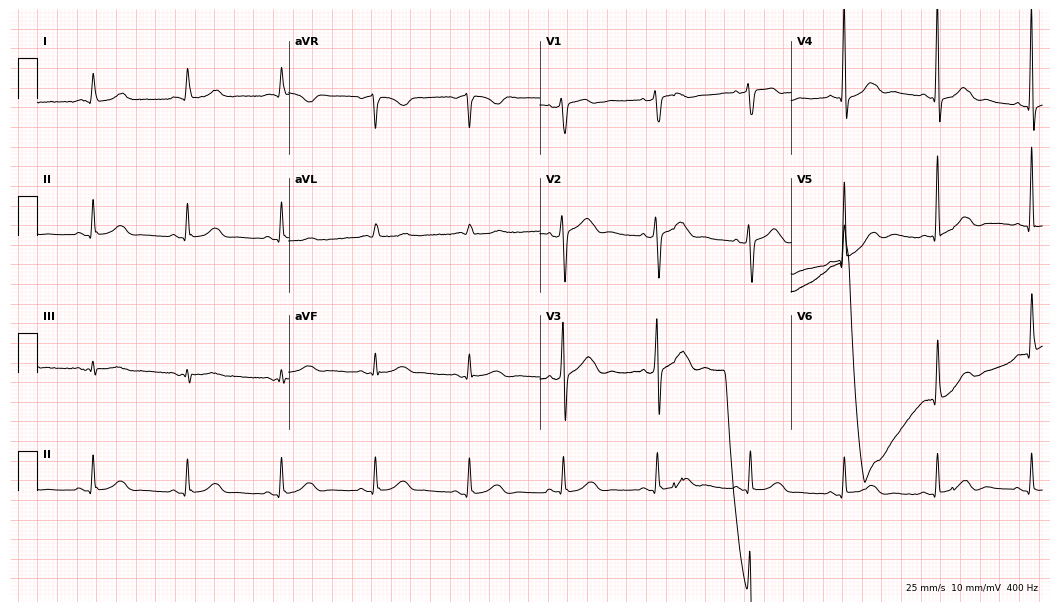
12-lead ECG from a 78-year-old female patient. Screened for six findings — first-degree AV block, right bundle branch block, left bundle branch block, sinus bradycardia, atrial fibrillation, sinus tachycardia — none is recorded.